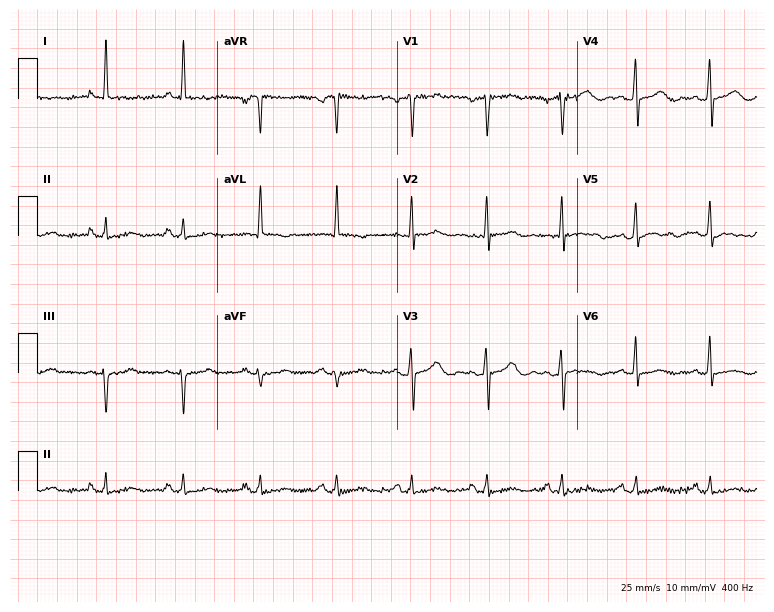
12-lead ECG from a 60-year-old female patient. Labelled as a normal ECG.